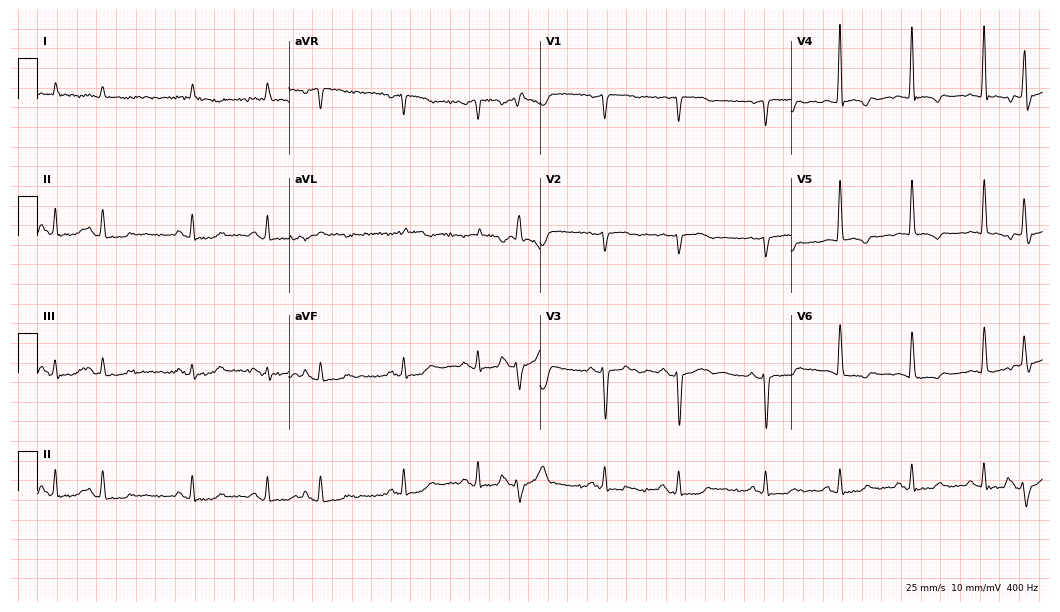
ECG — a 75-year-old woman. Labelled as a normal ECG.